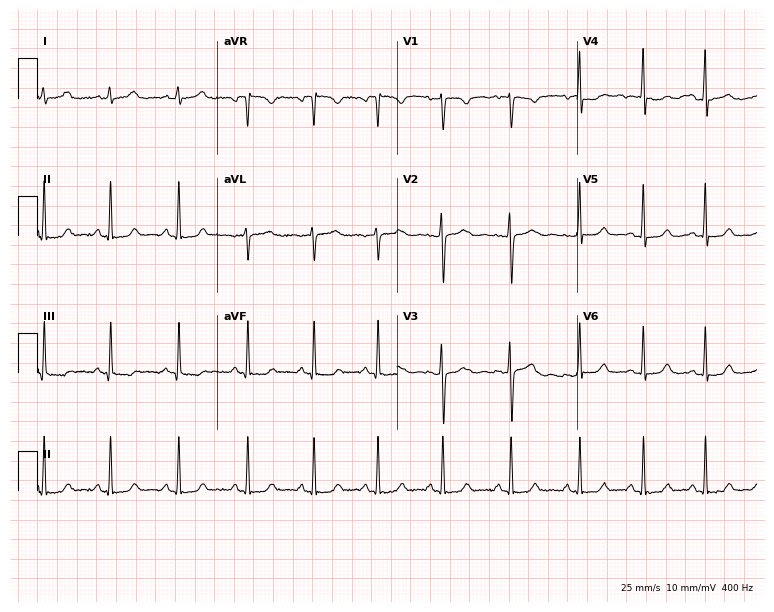
12-lead ECG (7.3-second recording at 400 Hz) from a female patient, 25 years old. Screened for six findings — first-degree AV block, right bundle branch block (RBBB), left bundle branch block (LBBB), sinus bradycardia, atrial fibrillation (AF), sinus tachycardia — none is recorded.